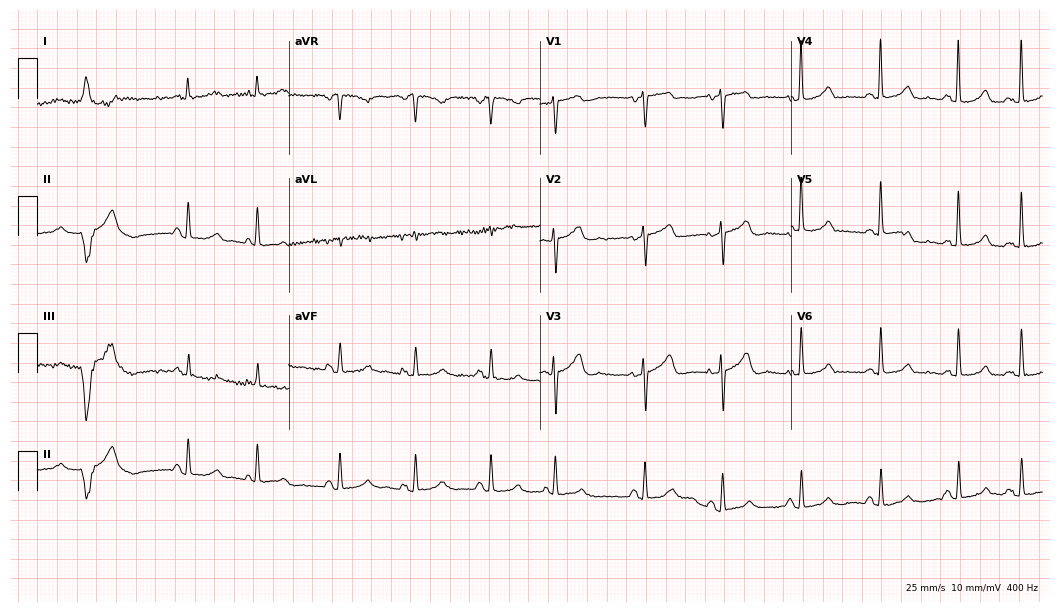
Electrocardiogram (10.2-second recording at 400 Hz), a female patient, 85 years old. Of the six screened findings (first-degree AV block, right bundle branch block, left bundle branch block, sinus bradycardia, atrial fibrillation, sinus tachycardia), none is recorded.